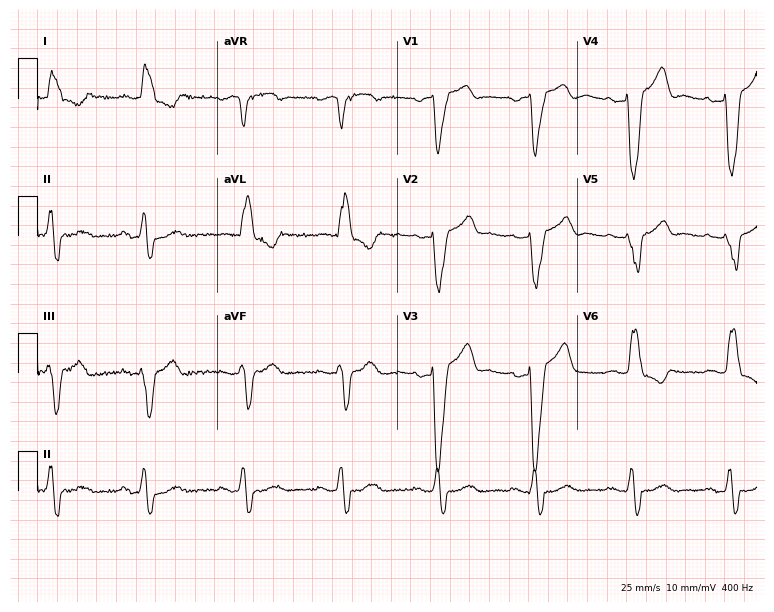
12-lead ECG (7.3-second recording at 400 Hz) from a 70-year-old woman. Findings include left bundle branch block.